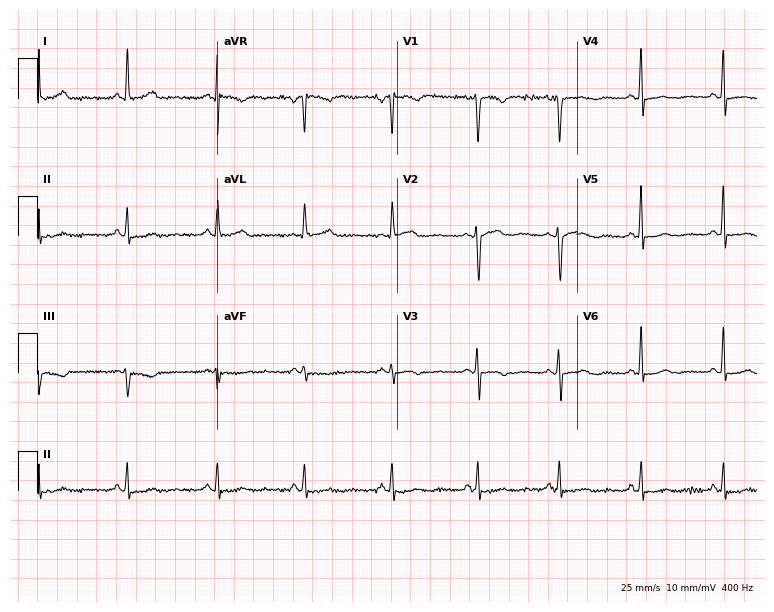
ECG — a 53-year-old female. Screened for six findings — first-degree AV block, right bundle branch block, left bundle branch block, sinus bradycardia, atrial fibrillation, sinus tachycardia — none is recorded. Other findings, if any, are not listed.